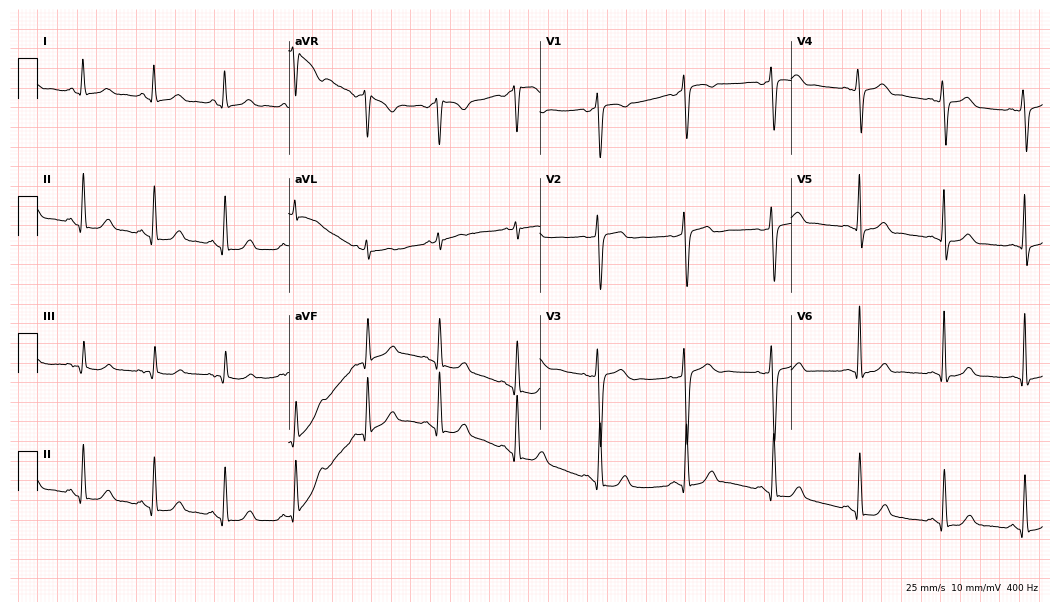
ECG (10.2-second recording at 400 Hz) — a 35-year-old woman. Labelled as a normal ECG.